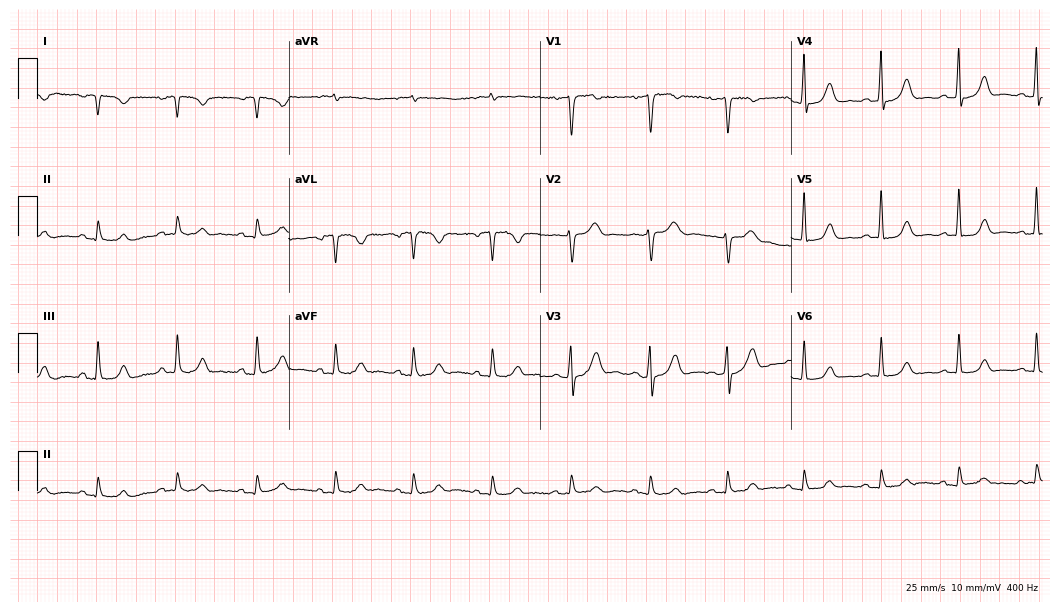
Standard 12-lead ECG recorded from a 51-year-old female patient. Read as a normal ECG.